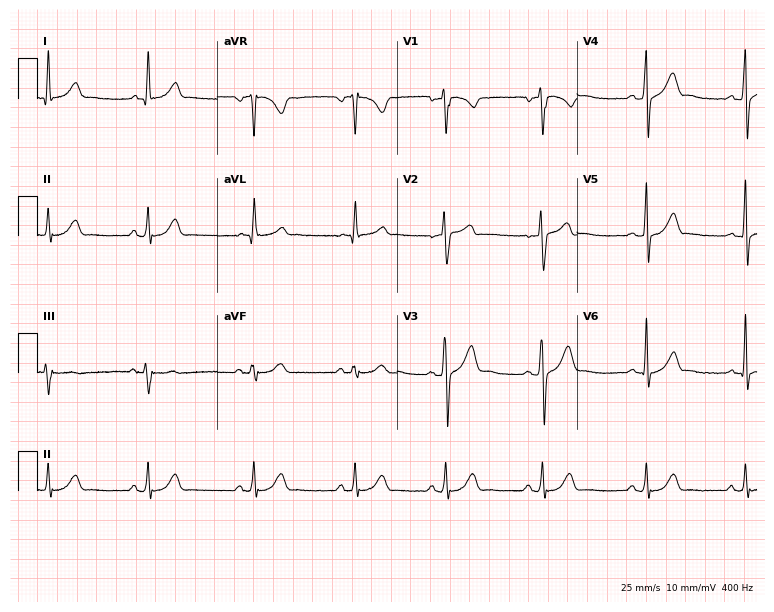
Electrocardiogram (7.3-second recording at 400 Hz), a man, 20 years old. Overall reading on record: normal ECG.